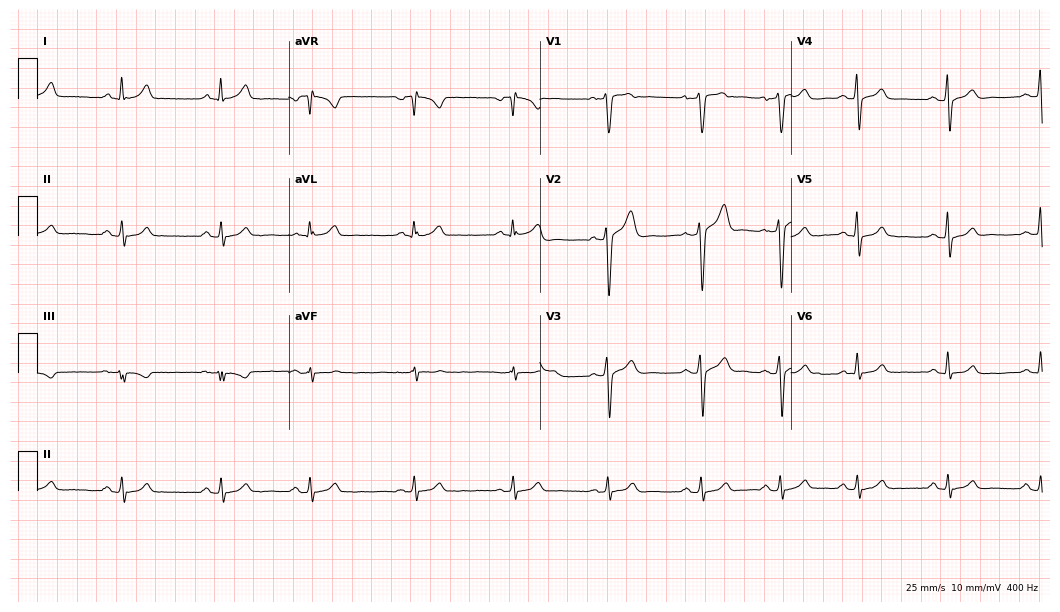
Standard 12-lead ECG recorded from a male patient, 41 years old (10.2-second recording at 400 Hz). Read as a normal ECG.